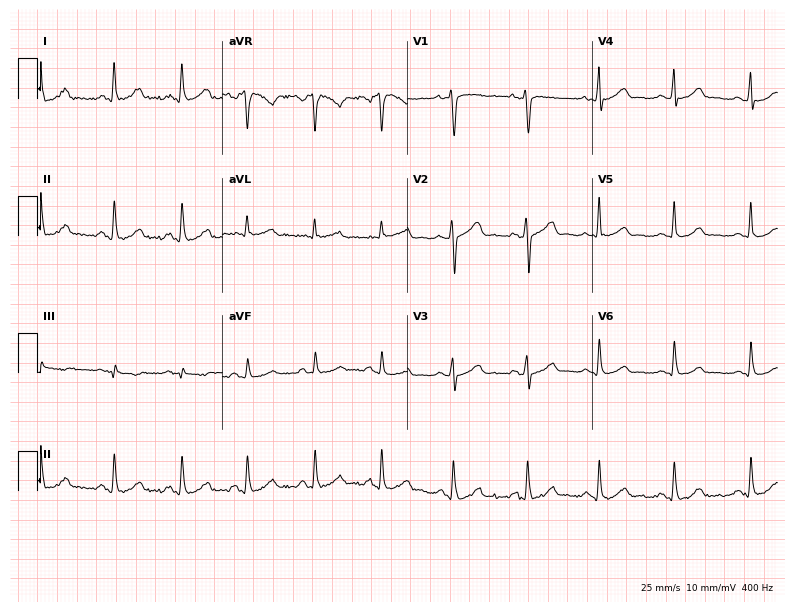
Resting 12-lead electrocardiogram. Patient: a woman, 30 years old. Read as a normal ECG.